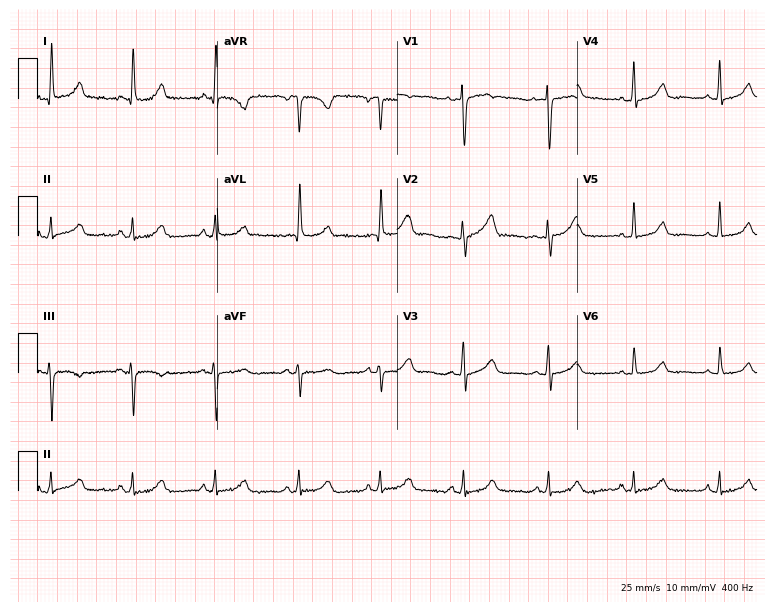
Electrocardiogram, a woman, 53 years old. Overall reading on record: normal ECG.